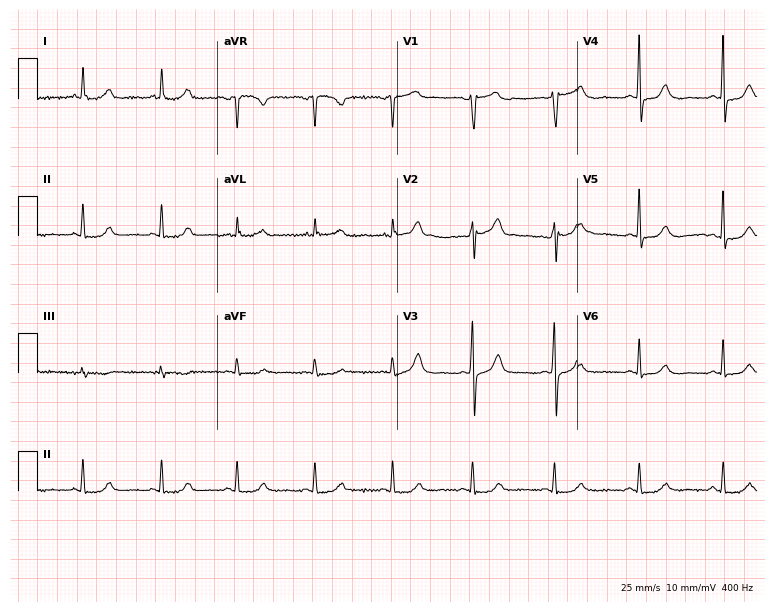
Resting 12-lead electrocardiogram (7.3-second recording at 400 Hz). Patient: a 60-year-old female. Read as a normal ECG.